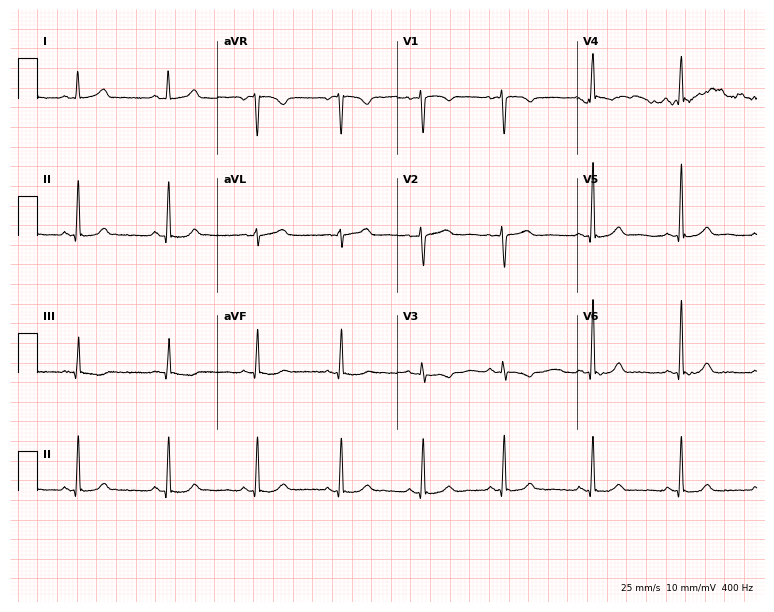
Resting 12-lead electrocardiogram (7.3-second recording at 400 Hz). Patient: a woman, 46 years old. Read as a normal ECG.